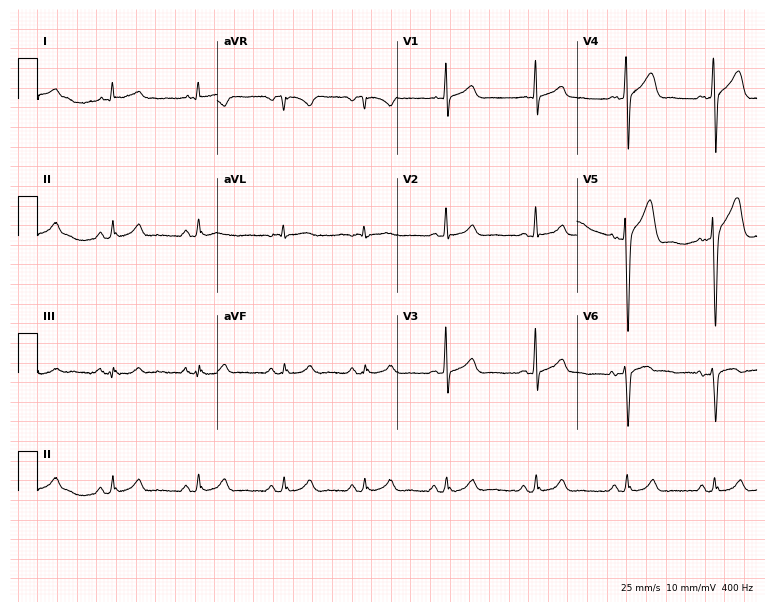
Standard 12-lead ECG recorded from a 36-year-old man. None of these six findings is recorded: first-degree AV block, right bundle branch block, left bundle branch block, sinus bradycardia, atrial fibrillation, sinus tachycardia. Only these six findings were labelled.